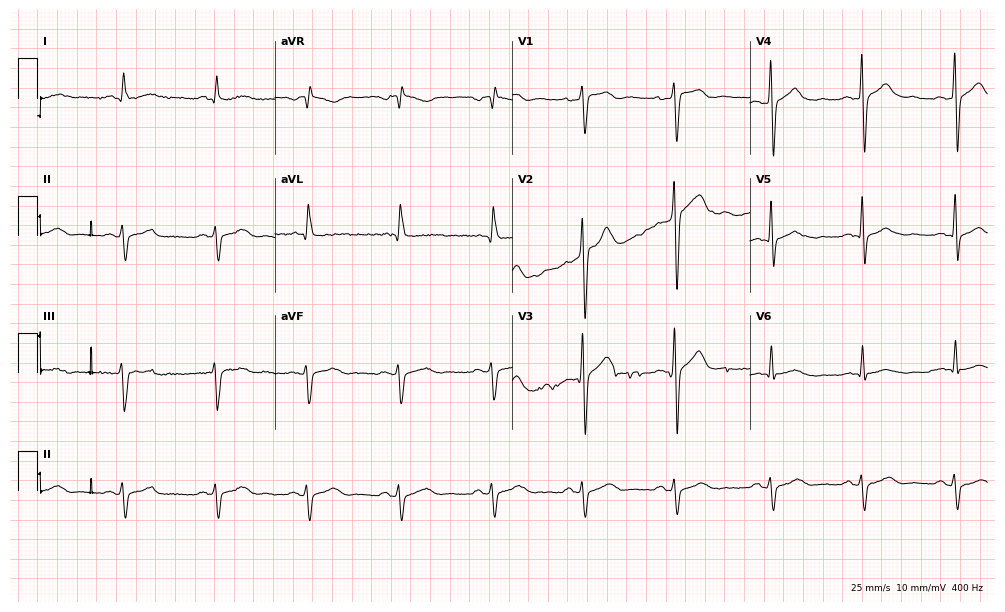
12-lead ECG (9.7-second recording at 400 Hz) from a 65-year-old male. Screened for six findings — first-degree AV block, right bundle branch block, left bundle branch block, sinus bradycardia, atrial fibrillation, sinus tachycardia — none is recorded. Other findings, if any, are not listed.